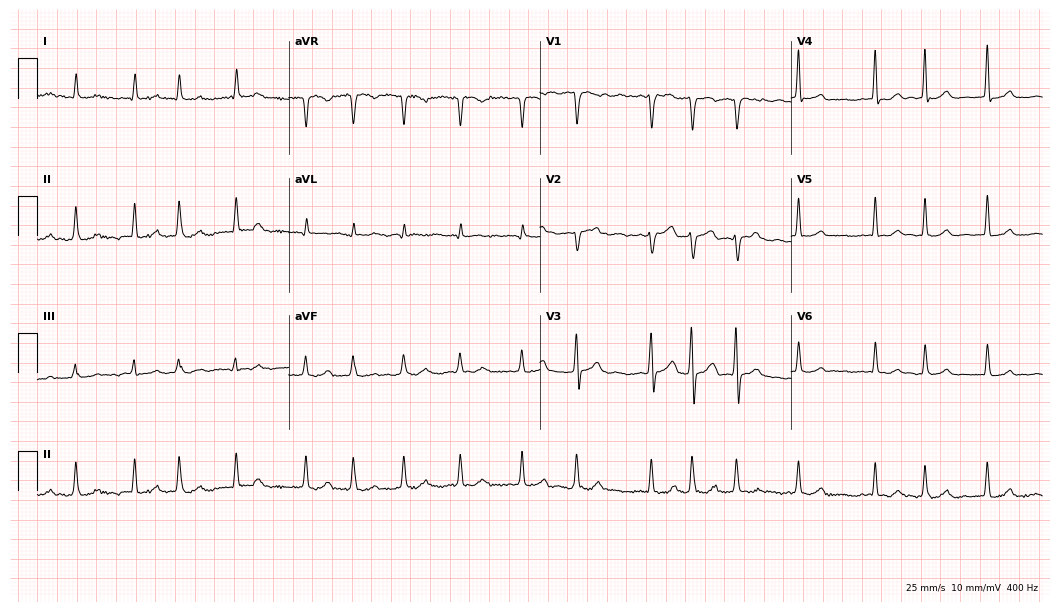
Standard 12-lead ECG recorded from a female patient, 60 years old. The tracing shows atrial fibrillation.